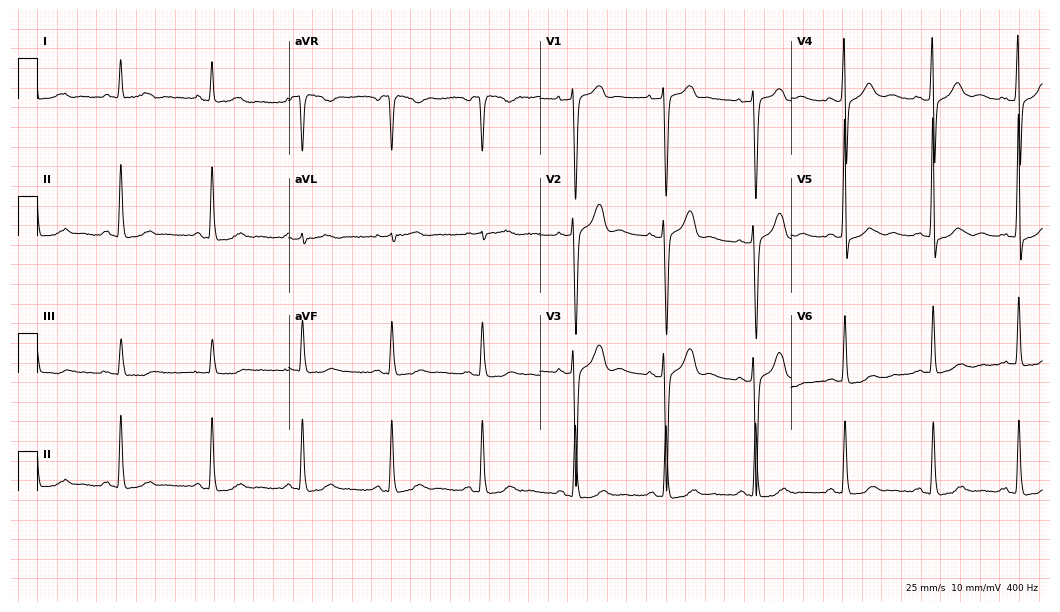
Standard 12-lead ECG recorded from a female patient, 58 years old (10.2-second recording at 400 Hz). Read as a normal ECG.